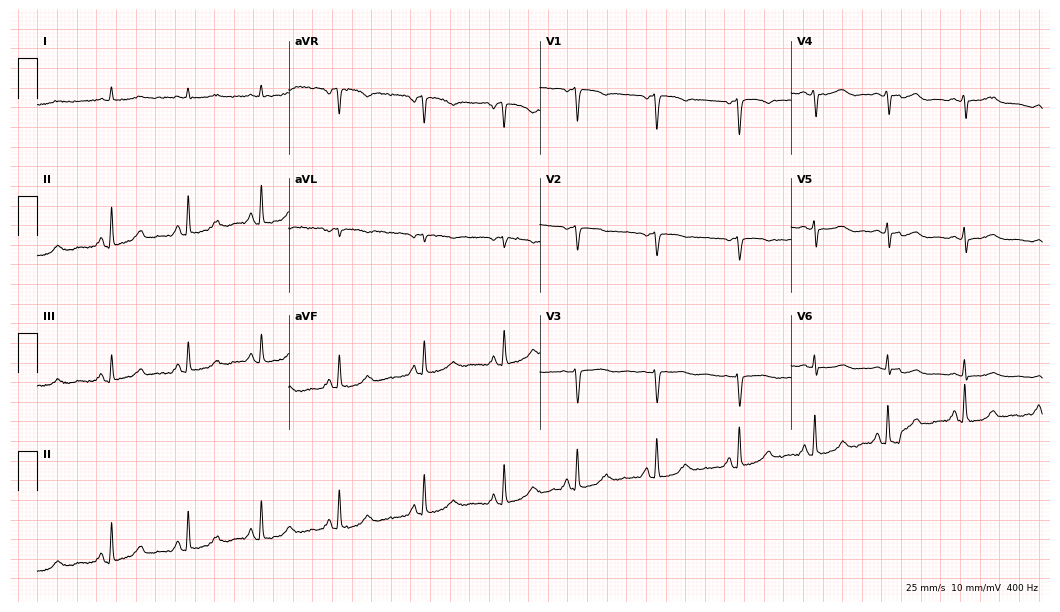
Standard 12-lead ECG recorded from a woman, 48 years old (10.2-second recording at 400 Hz). None of these six findings is recorded: first-degree AV block, right bundle branch block, left bundle branch block, sinus bradycardia, atrial fibrillation, sinus tachycardia. Findings outside these six are not listed.